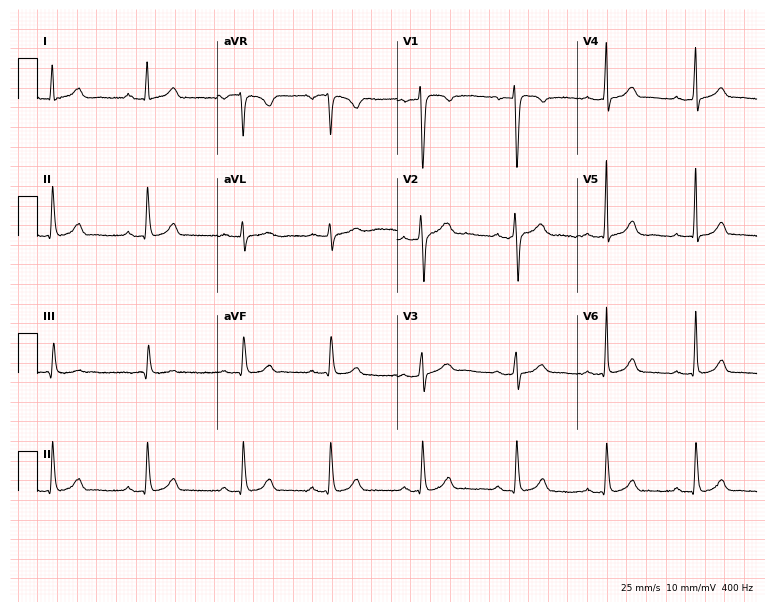
12-lead ECG from a female patient, 29 years old (7.3-second recording at 400 Hz). Recorded interpretation: within normal limits.